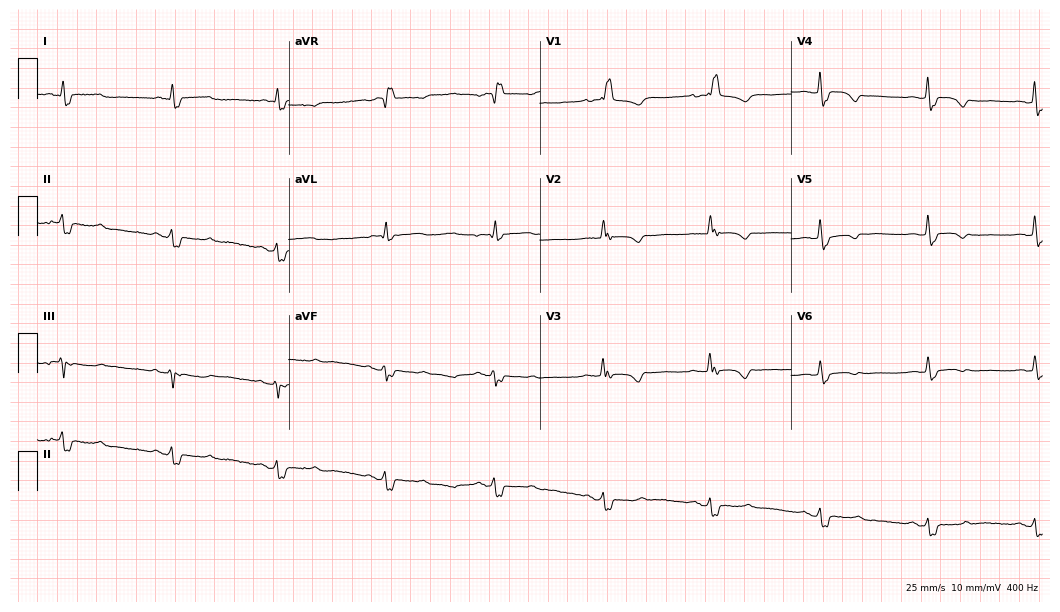
12-lead ECG (10.2-second recording at 400 Hz) from a female patient, 70 years old. Findings include right bundle branch block (RBBB).